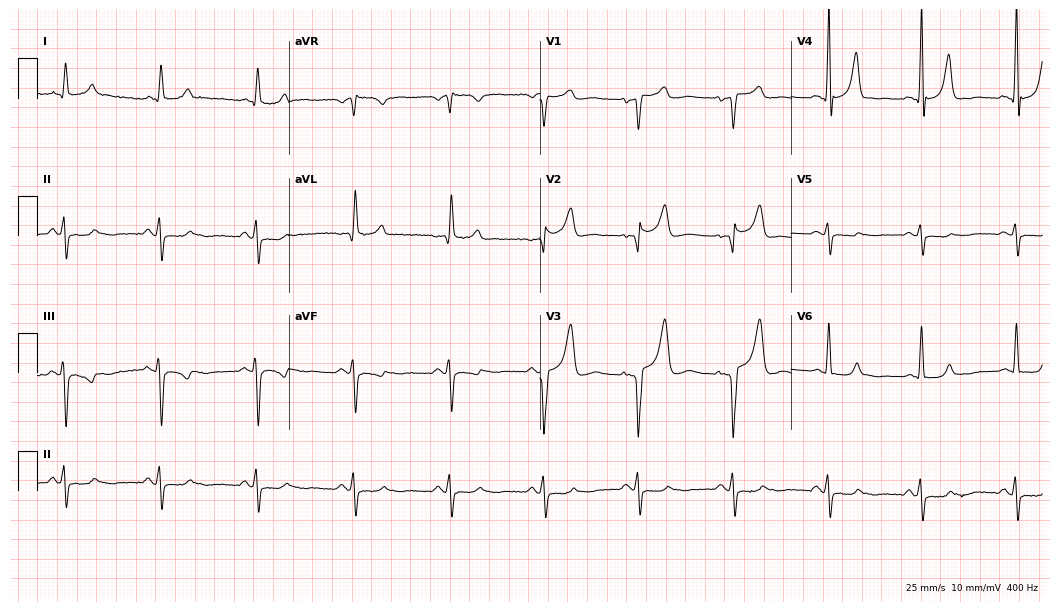
12-lead ECG from a 69-year-old male patient. No first-degree AV block, right bundle branch block (RBBB), left bundle branch block (LBBB), sinus bradycardia, atrial fibrillation (AF) or sinus tachycardia recorded for this tracing. Other findings, if any, are not listed.